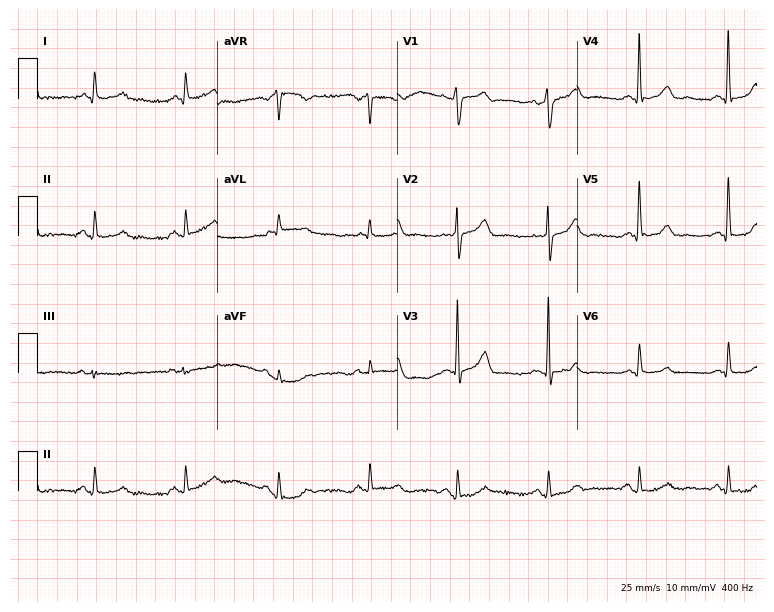
12-lead ECG from a male, 63 years old. Recorded interpretation: within normal limits.